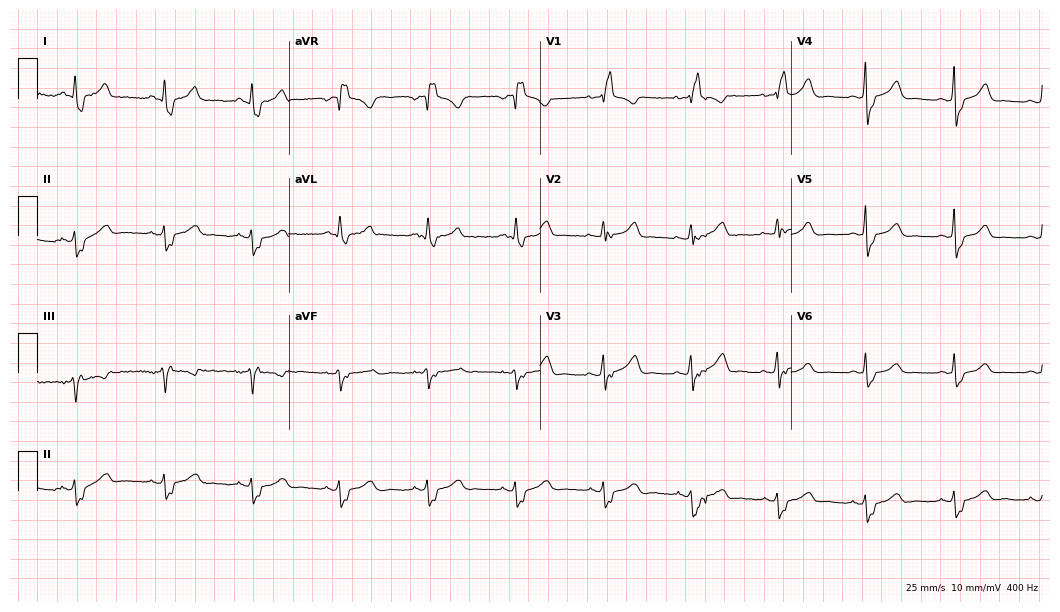
12-lead ECG (10.2-second recording at 400 Hz) from a 40-year-old female. Findings include right bundle branch block.